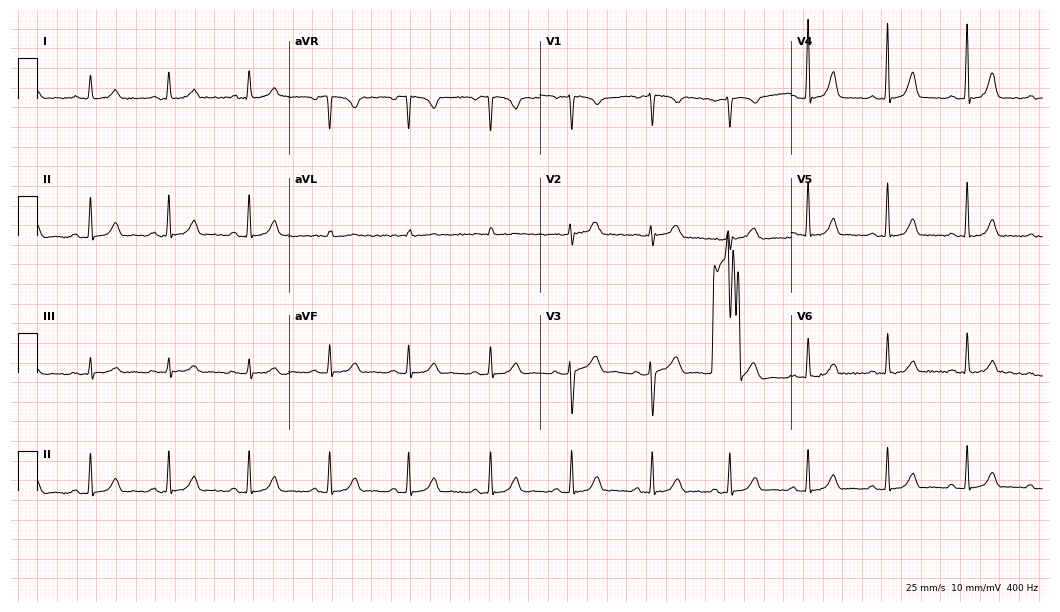
Electrocardiogram (10.2-second recording at 400 Hz), a woman, 39 years old. Overall reading on record: normal ECG.